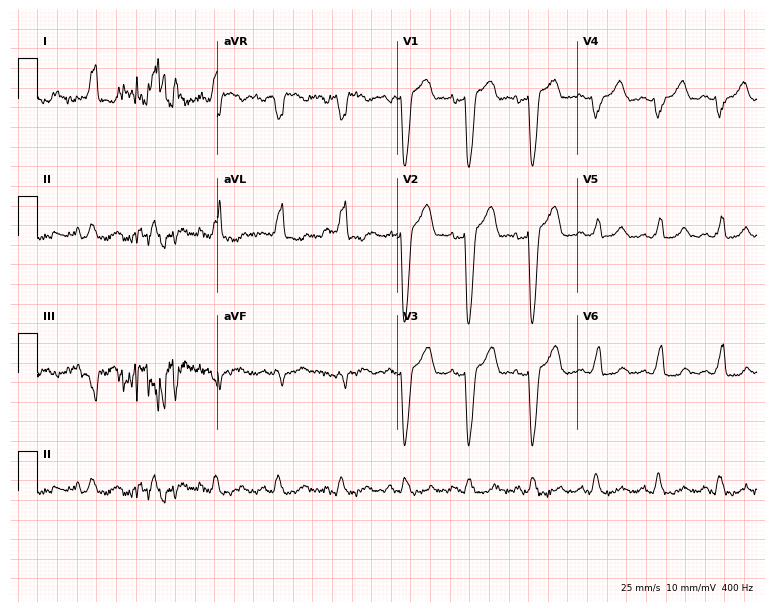
12-lead ECG (7.3-second recording at 400 Hz) from a female patient, 65 years old. Findings include left bundle branch block.